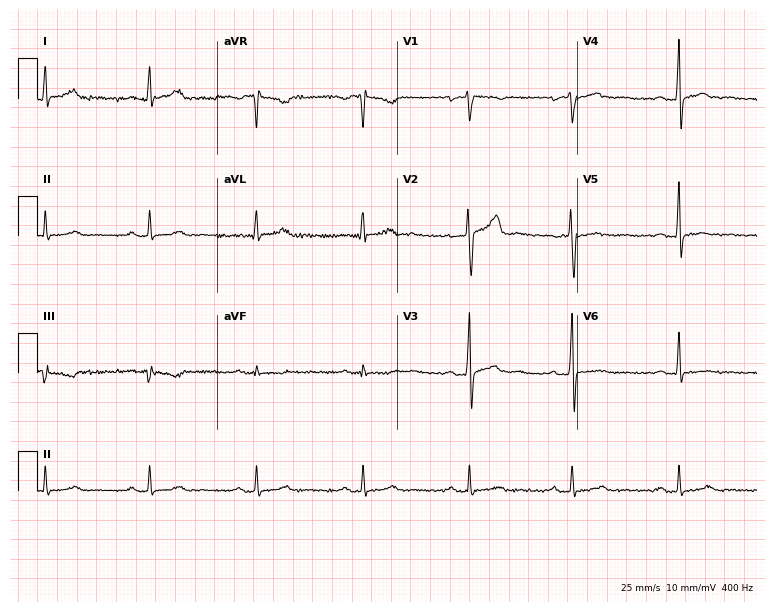
12-lead ECG (7.3-second recording at 400 Hz) from a male, 43 years old. Labelled as a normal ECG.